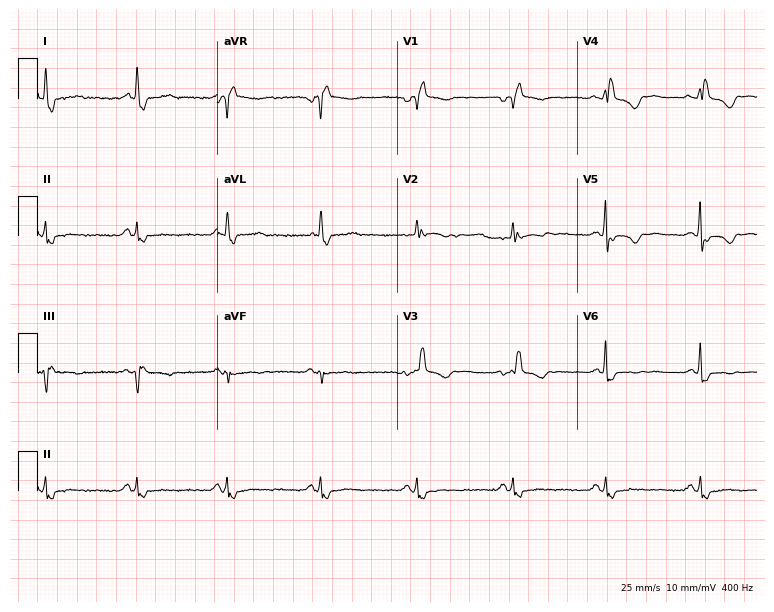
Standard 12-lead ECG recorded from a female patient, 73 years old (7.3-second recording at 400 Hz). The tracing shows right bundle branch block.